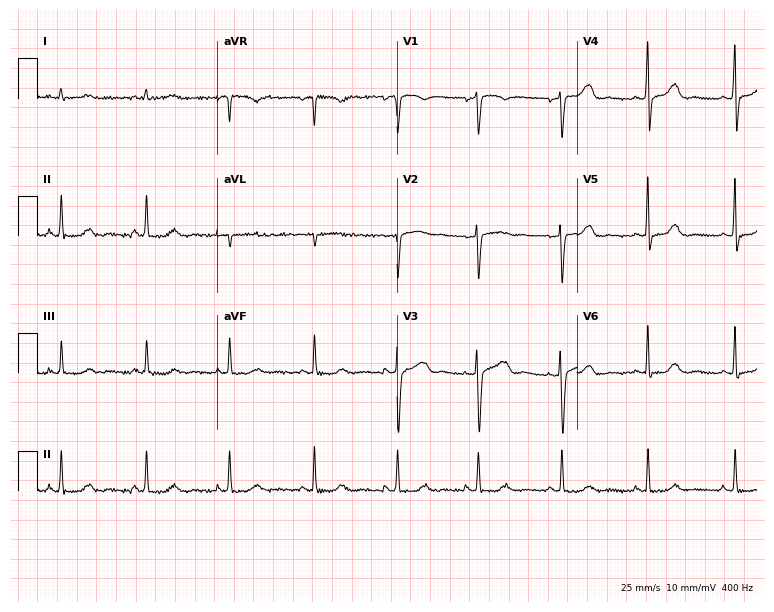
ECG (7.3-second recording at 400 Hz) — a woman, 39 years old. Screened for six findings — first-degree AV block, right bundle branch block (RBBB), left bundle branch block (LBBB), sinus bradycardia, atrial fibrillation (AF), sinus tachycardia — none is recorded. Findings outside these six are not listed.